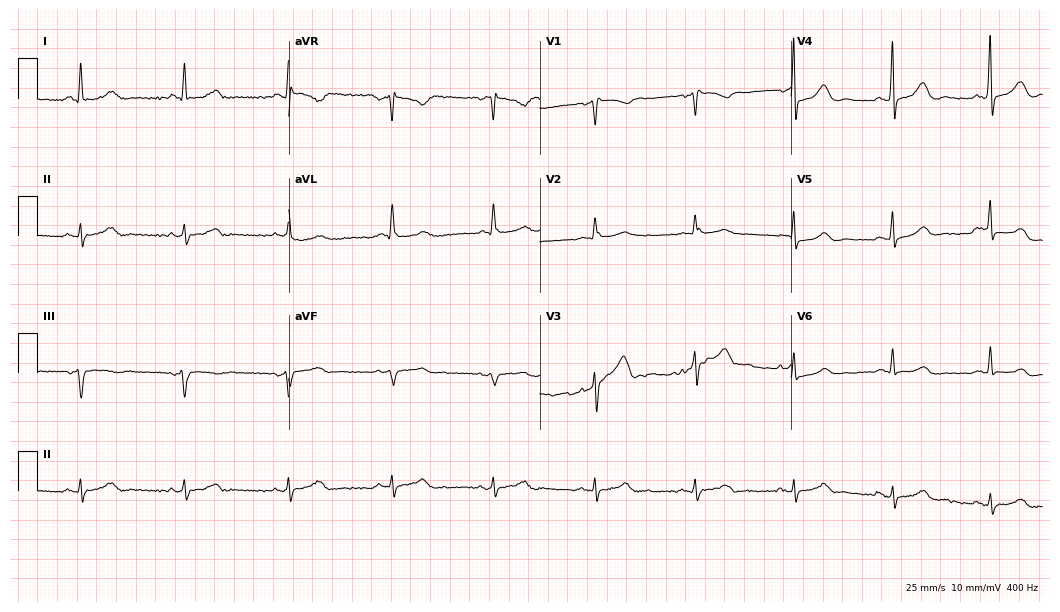
Standard 12-lead ECG recorded from a man, 72 years old (10.2-second recording at 400 Hz). None of these six findings is recorded: first-degree AV block, right bundle branch block, left bundle branch block, sinus bradycardia, atrial fibrillation, sinus tachycardia. Other findings, if any, are not listed.